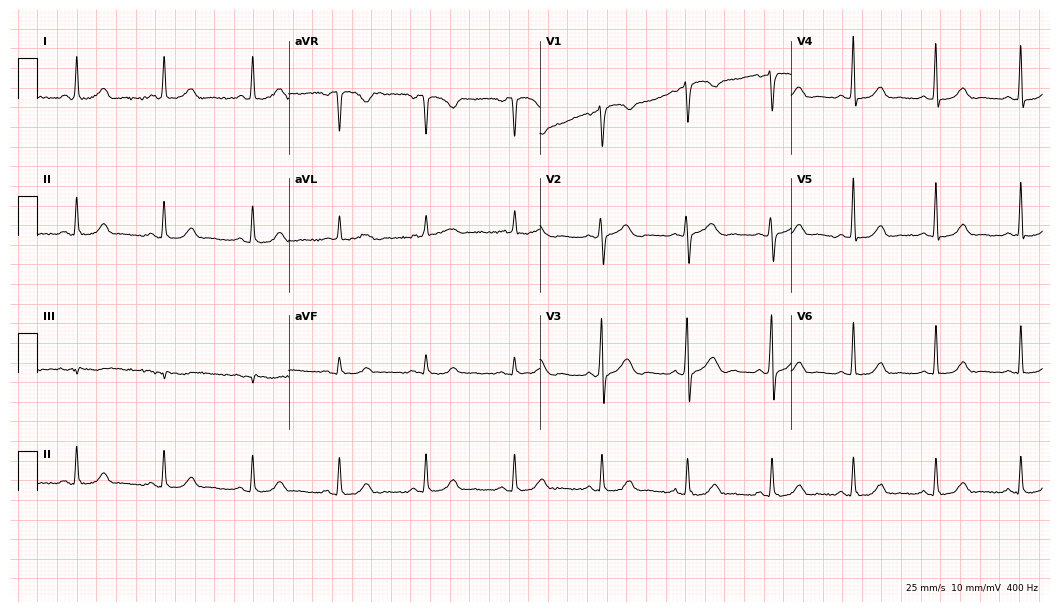
12-lead ECG from a male patient, 61 years old. Labelled as a normal ECG.